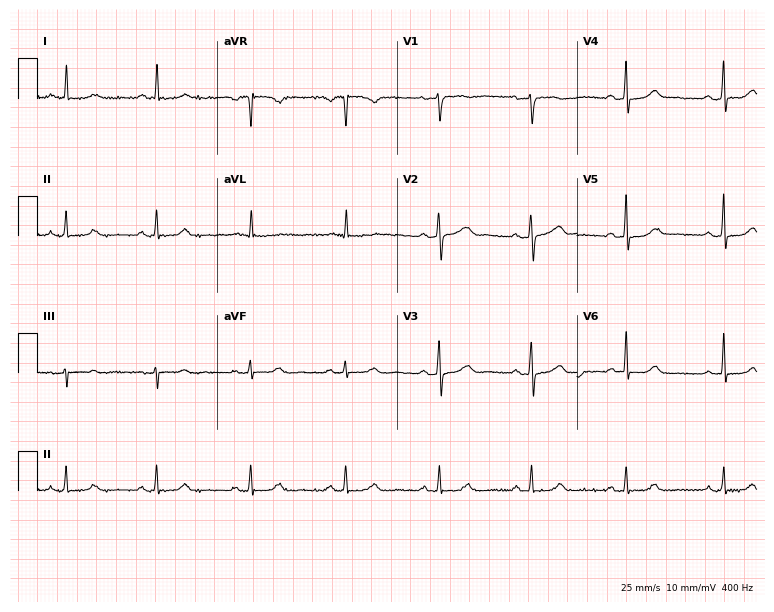
Resting 12-lead electrocardiogram (7.3-second recording at 400 Hz). Patient: a 53-year-old female. None of these six findings is recorded: first-degree AV block, right bundle branch block, left bundle branch block, sinus bradycardia, atrial fibrillation, sinus tachycardia. Findings outside these six are not listed.